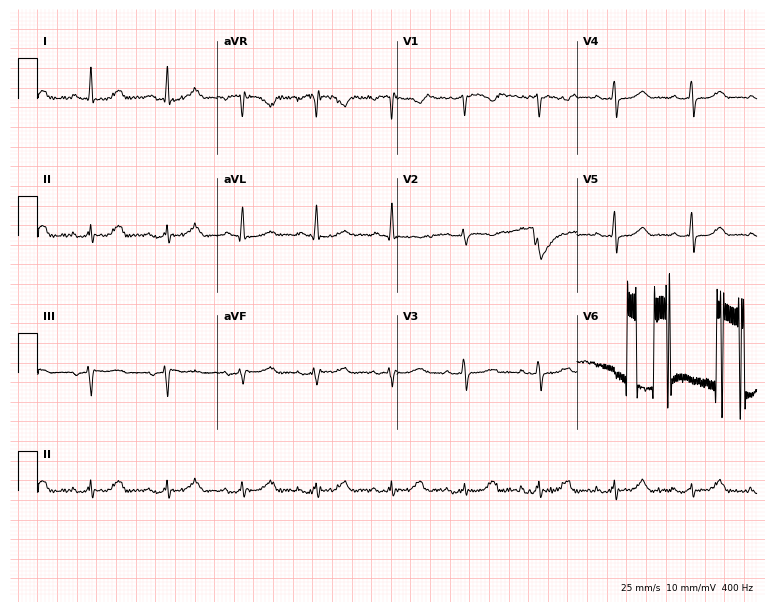
12-lead ECG (7.3-second recording at 400 Hz) from a female, 66 years old. Screened for six findings — first-degree AV block, right bundle branch block (RBBB), left bundle branch block (LBBB), sinus bradycardia, atrial fibrillation (AF), sinus tachycardia — none is recorded.